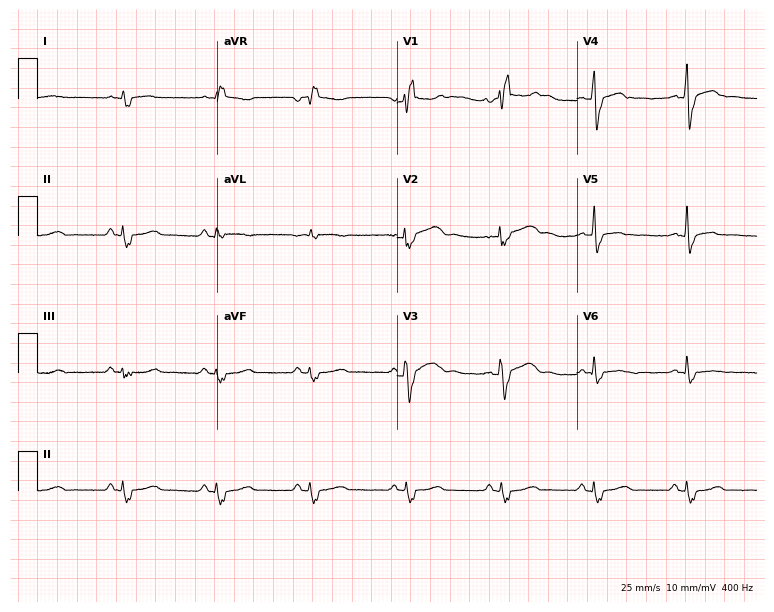
ECG (7.3-second recording at 400 Hz) — a male patient, 64 years old. Findings include right bundle branch block.